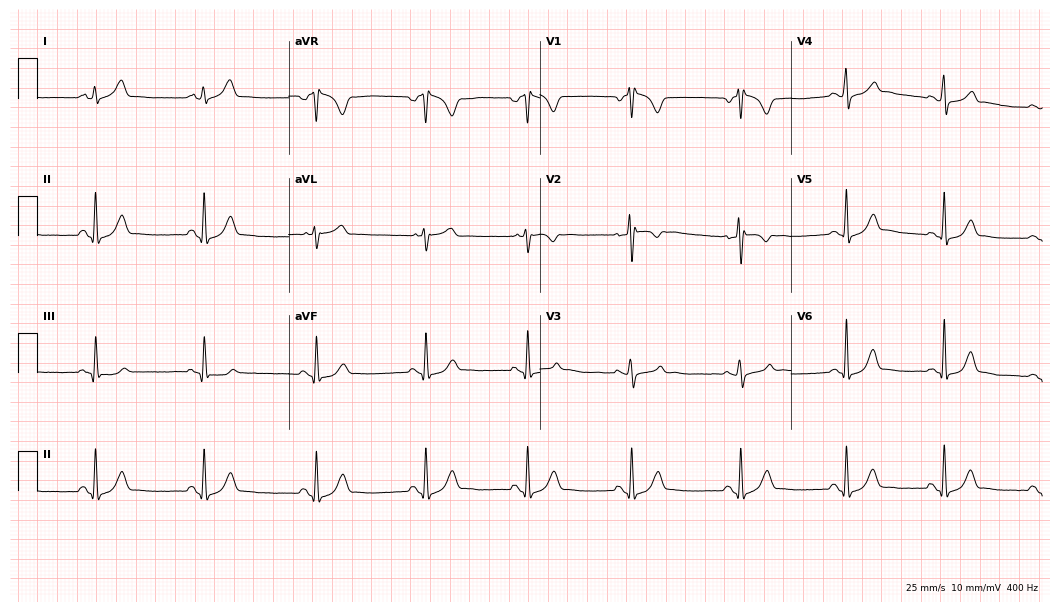
12-lead ECG (10.2-second recording at 400 Hz) from a woman, 20 years old. Screened for six findings — first-degree AV block, right bundle branch block (RBBB), left bundle branch block (LBBB), sinus bradycardia, atrial fibrillation (AF), sinus tachycardia — none is recorded. Only these six findings were labelled.